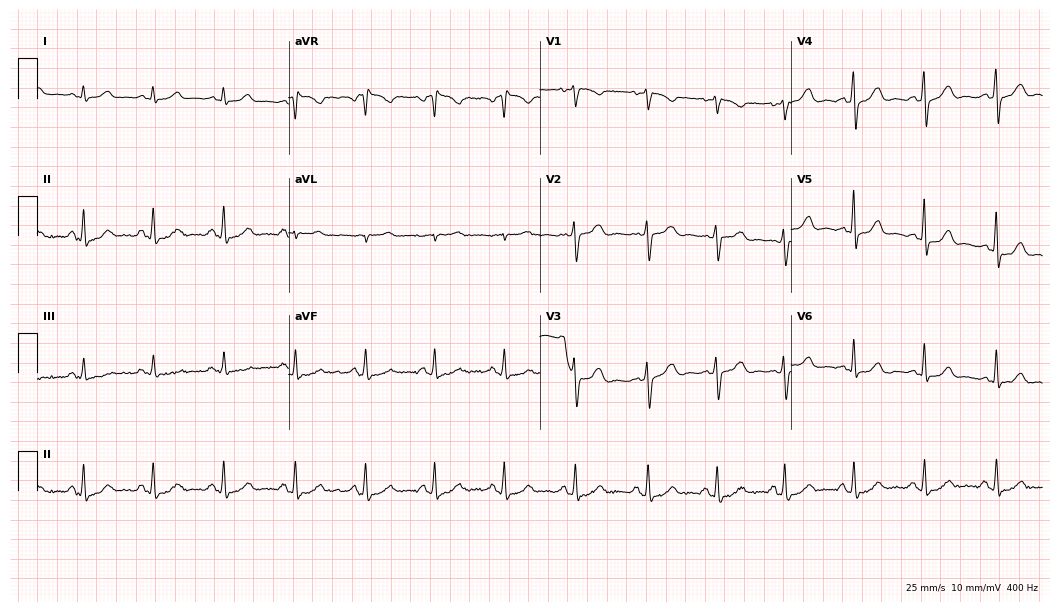
Standard 12-lead ECG recorded from a 44-year-old female. Read as a normal ECG.